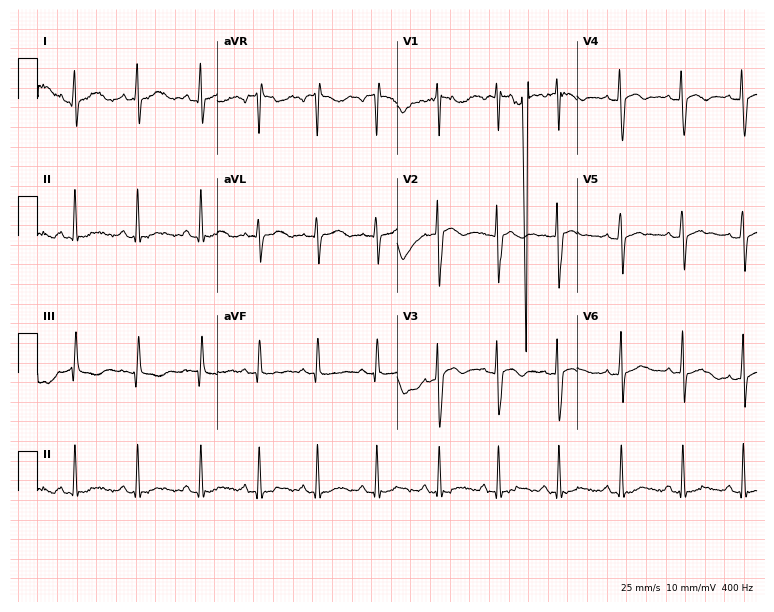
Electrocardiogram (7.3-second recording at 400 Hz), a male, 23 years old. Of the six screened findings (first-degree AV block, right bundle branch block, left bundle branch block, sinus bradycardia, atrial fibrillation, sinus tachycardia), none is recorded. Other findings, if any, are not listed.